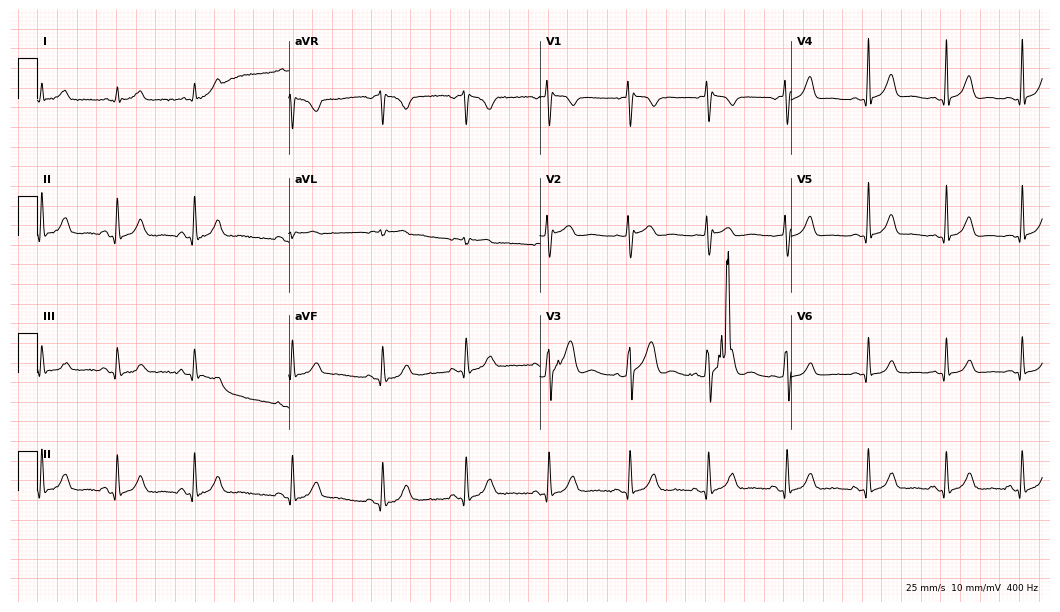
12-lead ECG from a male patient, 40 years old. Screened for six findings — first-degree AV block, right bundle branch block (RBBB), left bundle branch block (LBBB), sinus bradycardia, atrial fibrillation (AF), sinus tachycardia — none is recorded. Only these six findings were labelled.